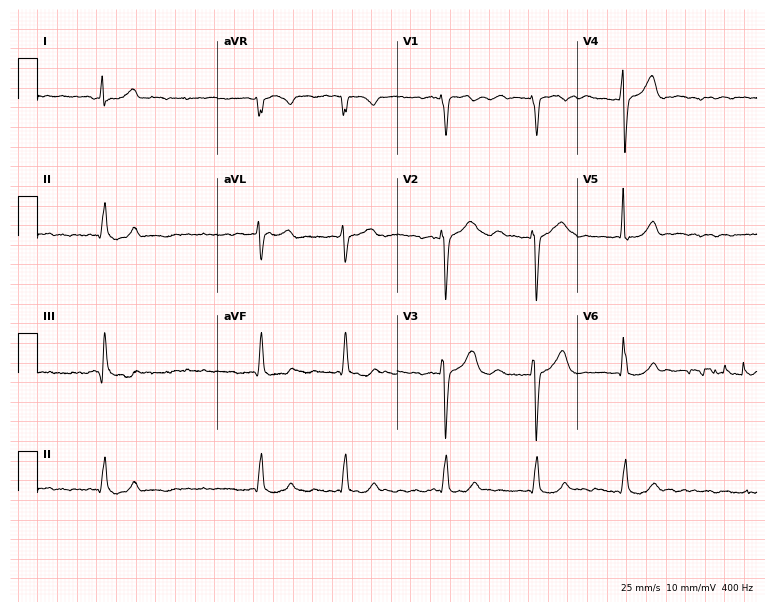
ECG — a 63-year-old female patient. Findings include atrial fibrillation.